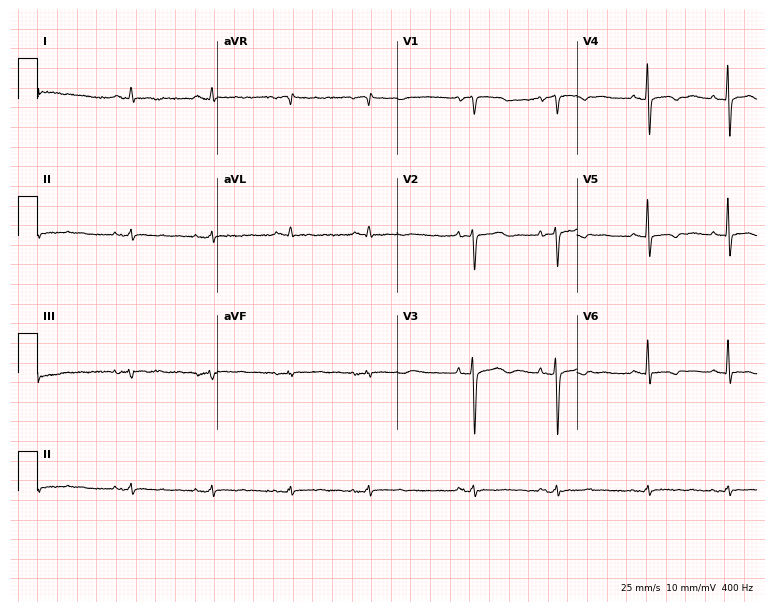
12-lead ECG (7.3-second recording at 400 Hz) from a female, 76 years old. Screened for six findings — first-degree AV block, right bundle branch block, left bundle branch block, sinus bradycardia, atrial fibrillation, sinus tachycardia — none is recorded. Findings outside these six are not listed.